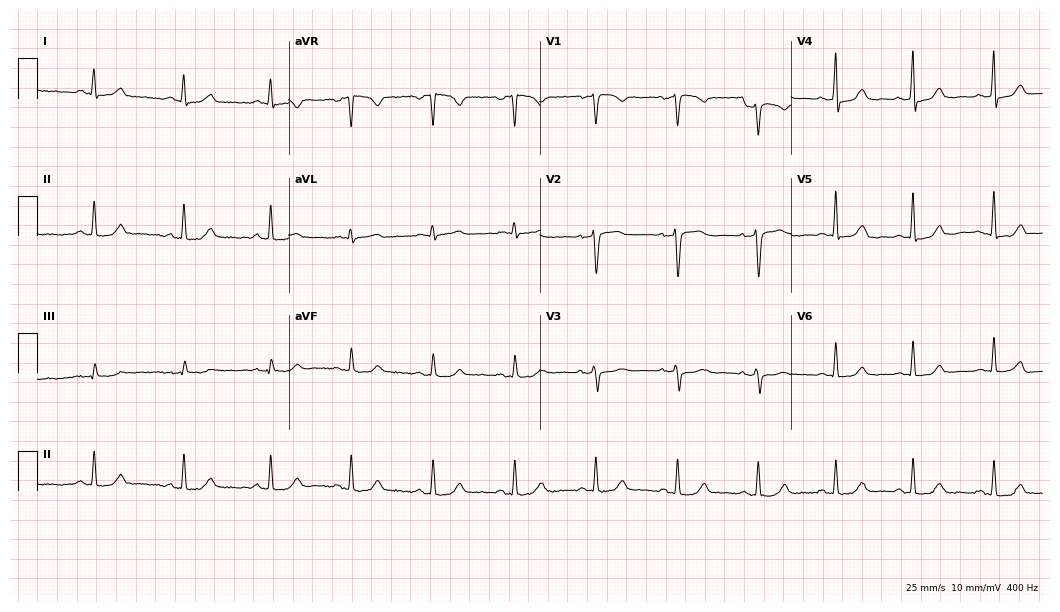
12-lead ECG (10.2-second recording at 400 Hz) from a 44-year-old female. Labelled as a normal ECG.